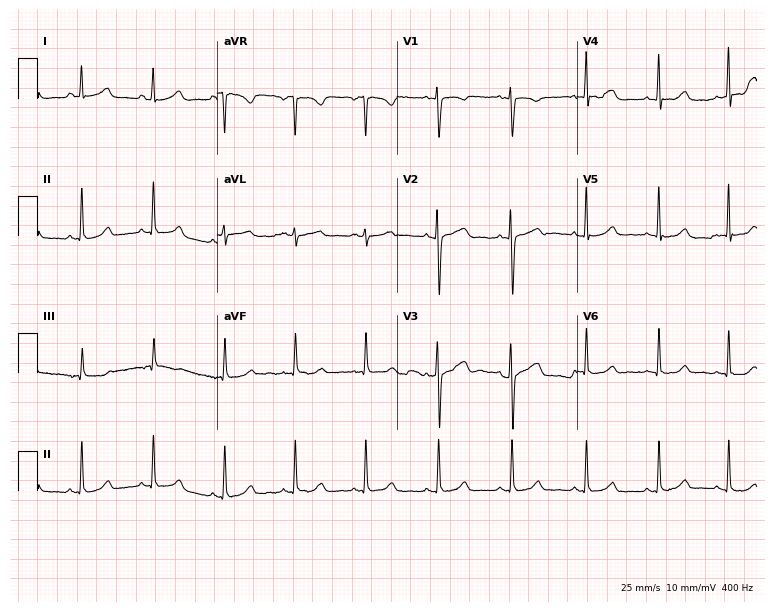
12-lead ECG (7.3-second recording at 400 Hz) from a woman, 35 years old. Labelled as a normal ECG.